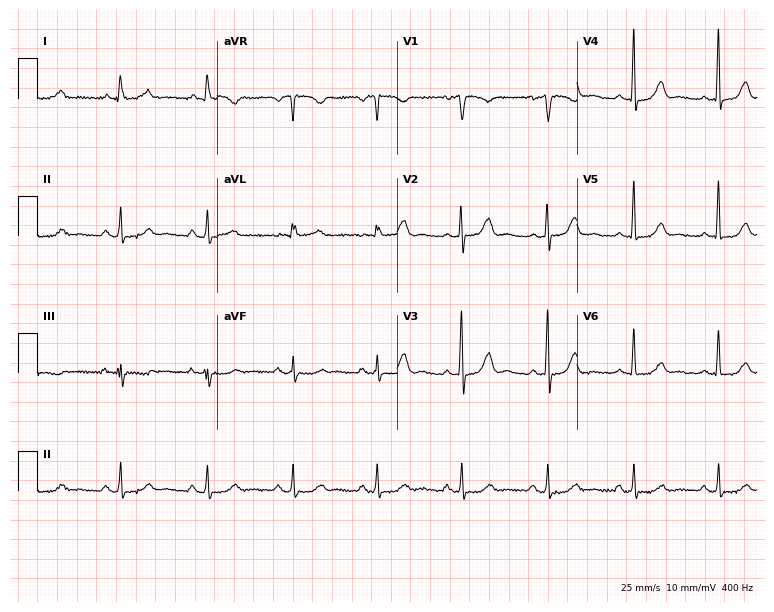
Standard 12-lead ECG recorded from a female patient, 59 years old (7.3-second recording at 400 Hz). Read as a normal ECG.